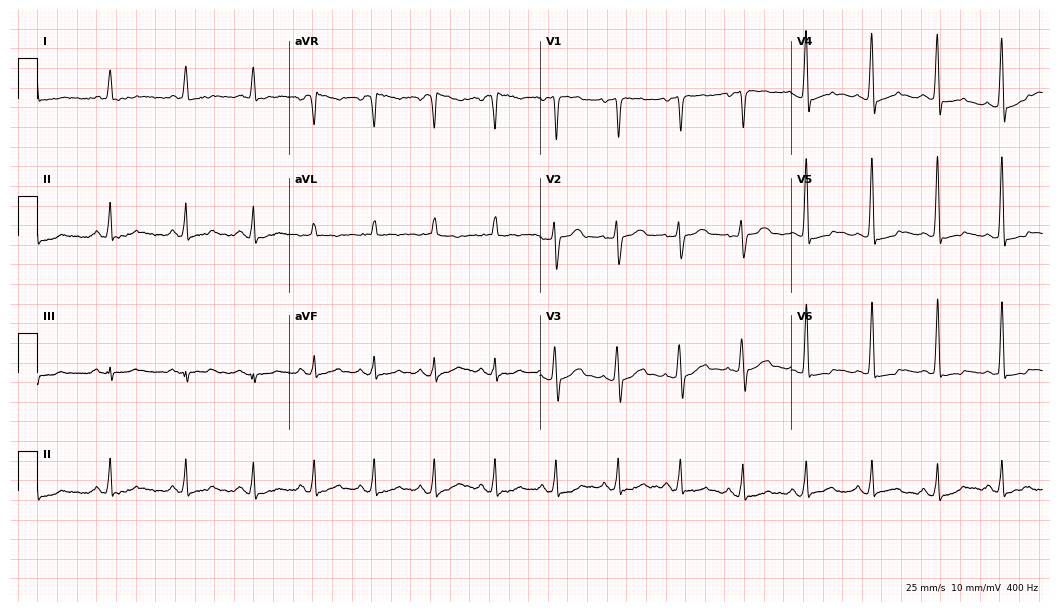
Electrocardiogram (10.2-second recording at 400 Hz), a male patient, 37 years old. Of the six screened findings (first-degree AV block, right bundle branch block, left bundle branch block, sinus bradycardia, atrial fibrillation, sinus tachycardia), none is recorded. Only these six findings were labelled.